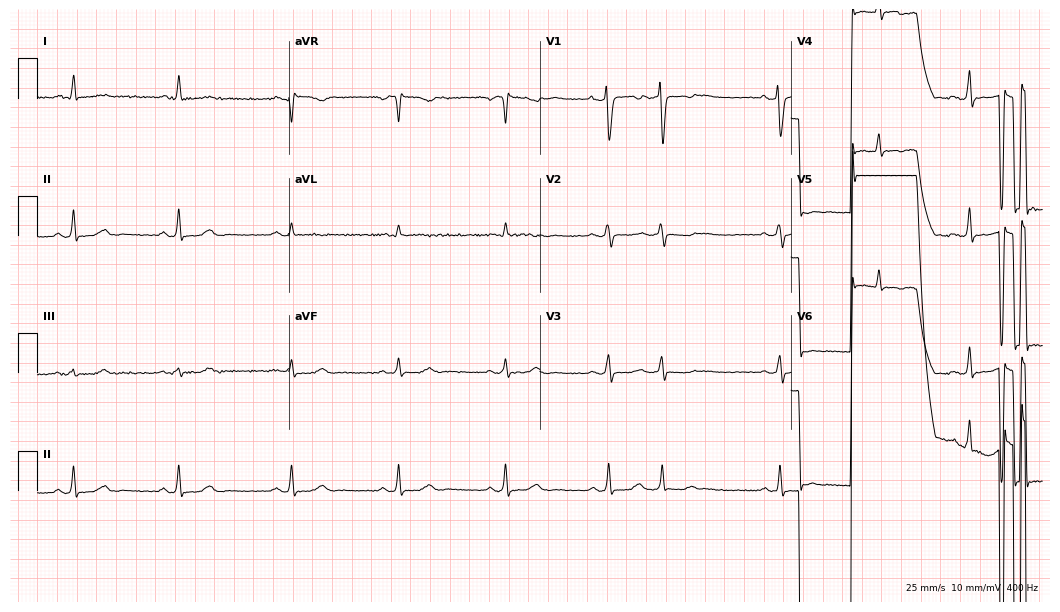
12-lead ECG from a 51-year-old female patient. Screened for six findings — first-degree AV block, right bundle branch block, left bundle branch block, sinus bradycardia, atrial fibrillation, sinus tachycardia — none is recorded.